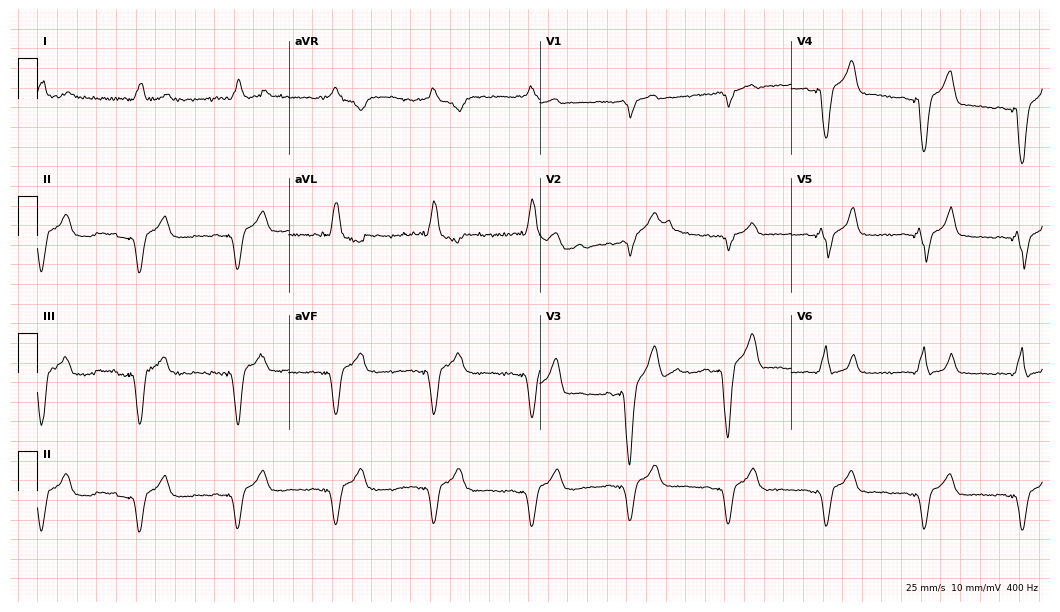
Standard 12-lead ECG recorded from a man, 61 years old. None of these six findings is recorded: first-degree AV block, right bundle branch block (RBBB), left bundle branch block (LBBB), sinus bradycardia, atrial fibrillation (AF), sinus tachycardia. Only these six findings were labelled.